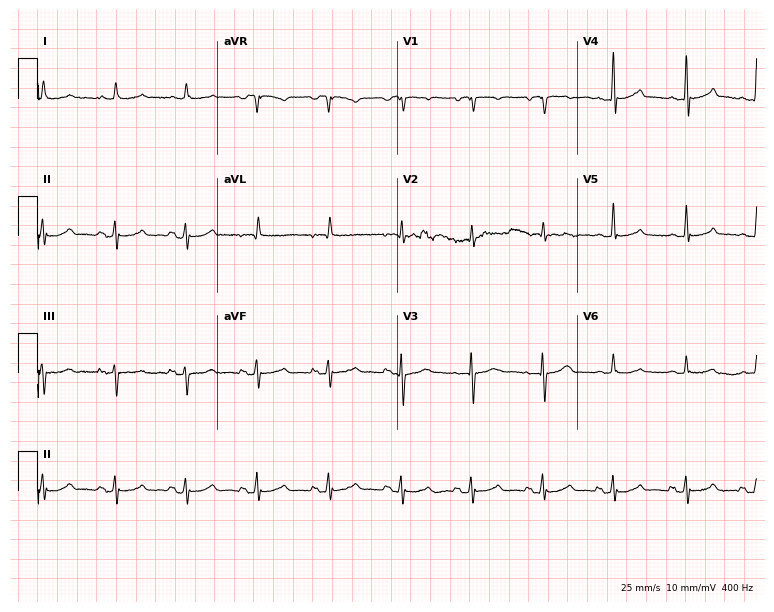
12-lead ECG from a female patient, 84 years old. No first-degree AV block, right bundle branch block, left bundle branch block, sinus bradycardia, atrial fibrillation or sinus tachycardia recorded for this tracing.